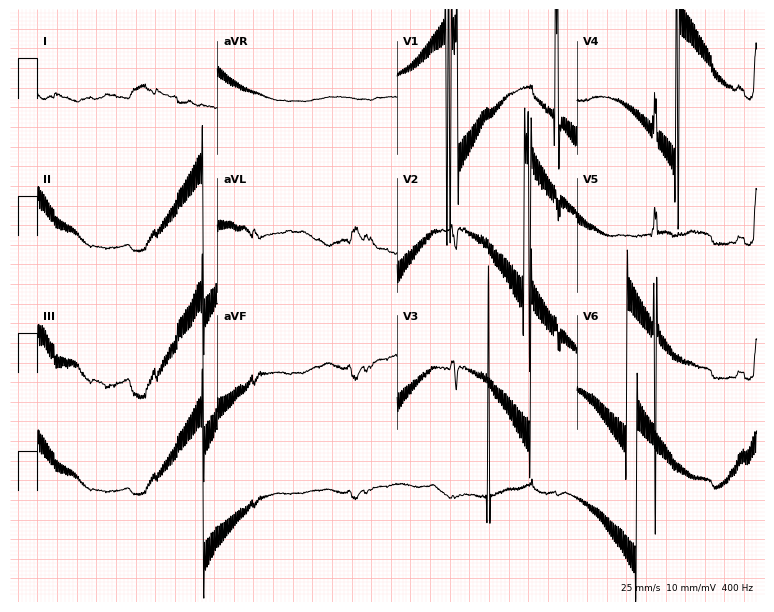
12-lead ECG (7.3-second recording at 400 Hz) from a man, 69 years old. Screened for six findings — first-degree AV block, right bundle branch block, left bundle branch block, sinus bradycardia, atrial fibrillation, sinus tachycardia — none is recorded.